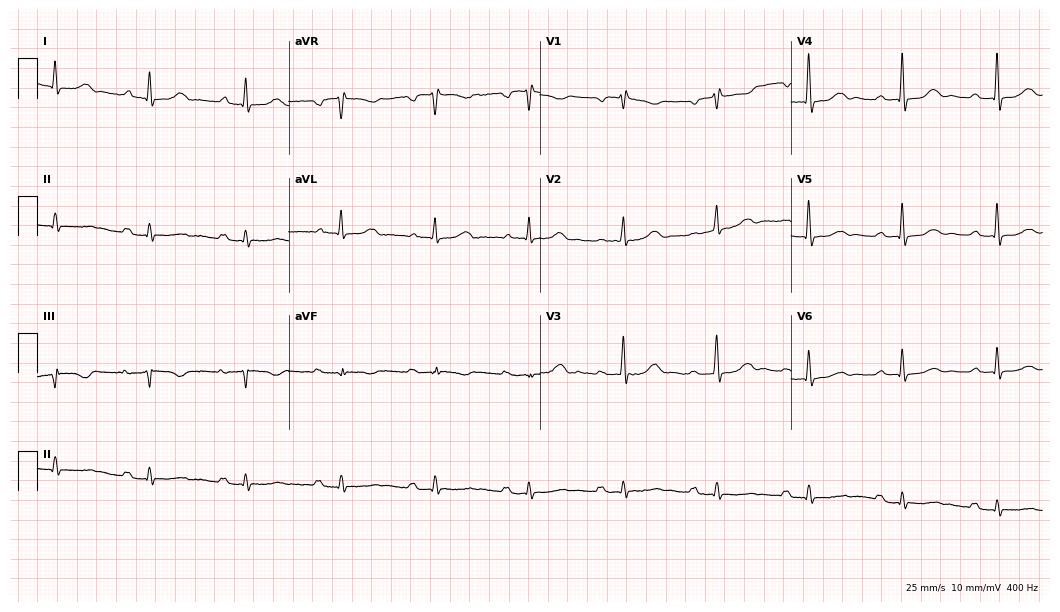
ECG (10.2-second recording at 400 Hz) — a woman, 78 years old. Screened for six findings — first-degree AV block, right bundle branch block, left bundle branch block, sinus bradycardia, atrial fibrillation, sinus tachycardia — none is recorded. Findings outside these six are not listed.